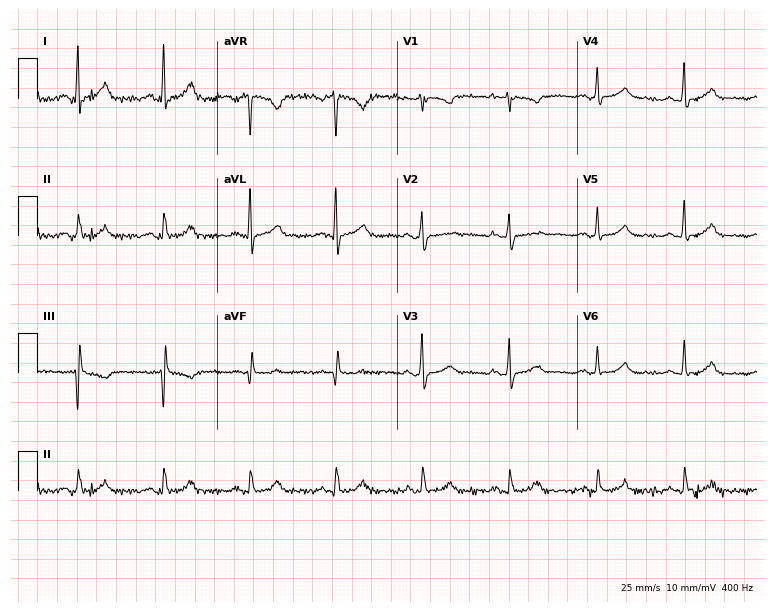
12-lead ECG (7.3-second recording at 400 Hz) from a 49-year-old woman. Labelled as a normal ECG.